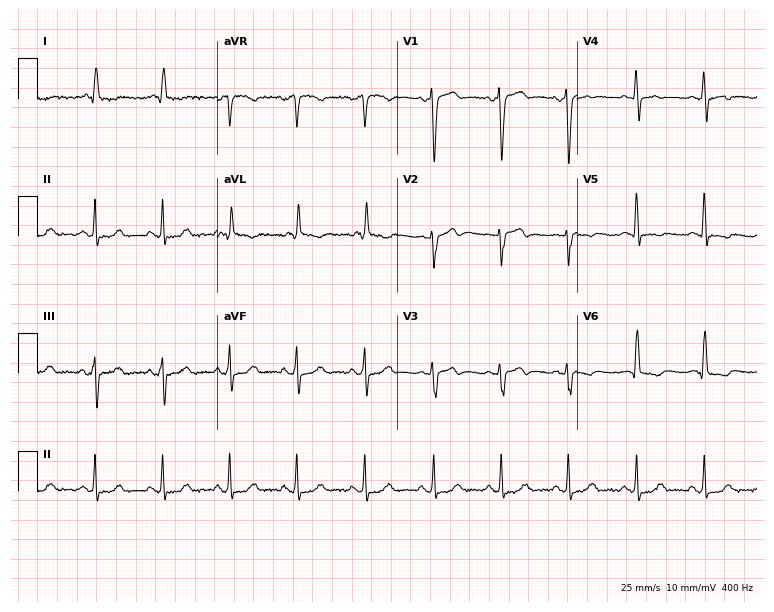
ECG — a 70-year-old male. Screened for six findings — first-degree AV block, right bundle branch block (RBBB), left bundle branch block (LBBB), sinus bradycardia, atrial fibrillation (AF), sinus tachycardia — none is recorded. Only these six findings were labelled.